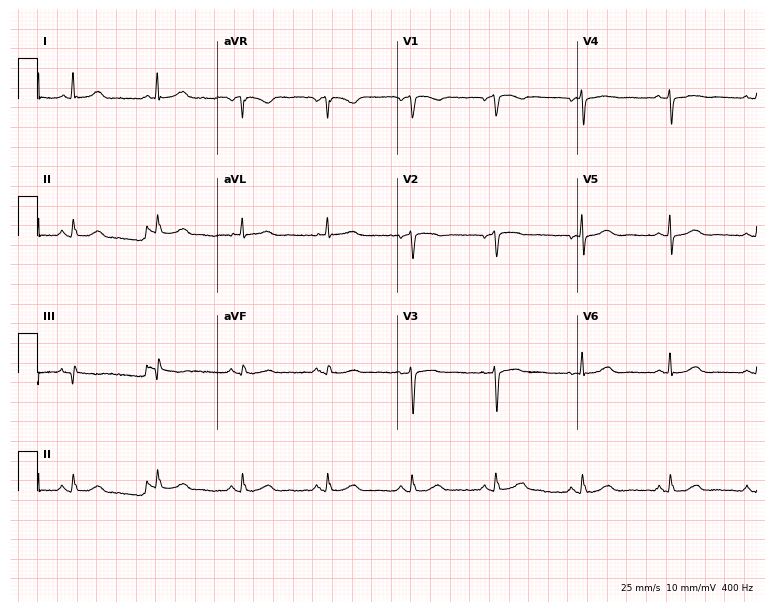
Electrocardiogram, a 72-year-old woman. Overall reading on record: normal ECG.